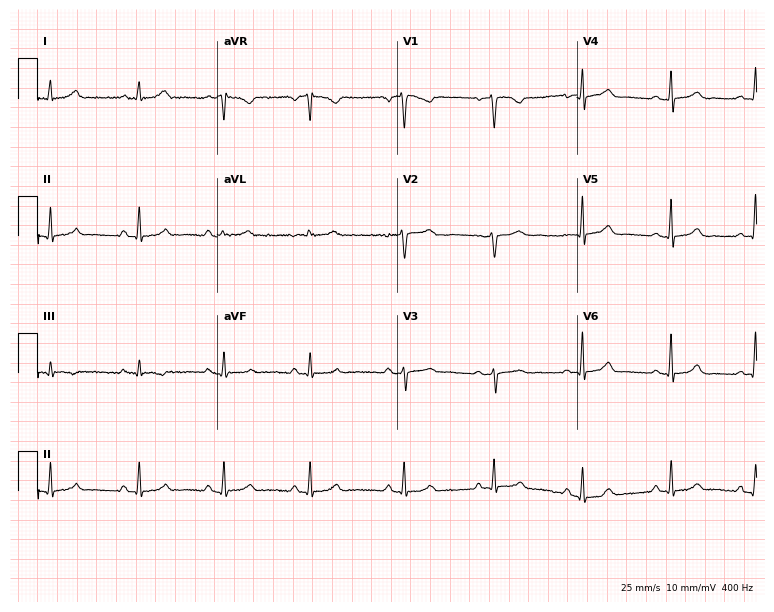
Resting 12-lead electrocardiogram (7.3-second recording at 400 Hz). Patient: a female, 41 years old. Read as a normal ECG.